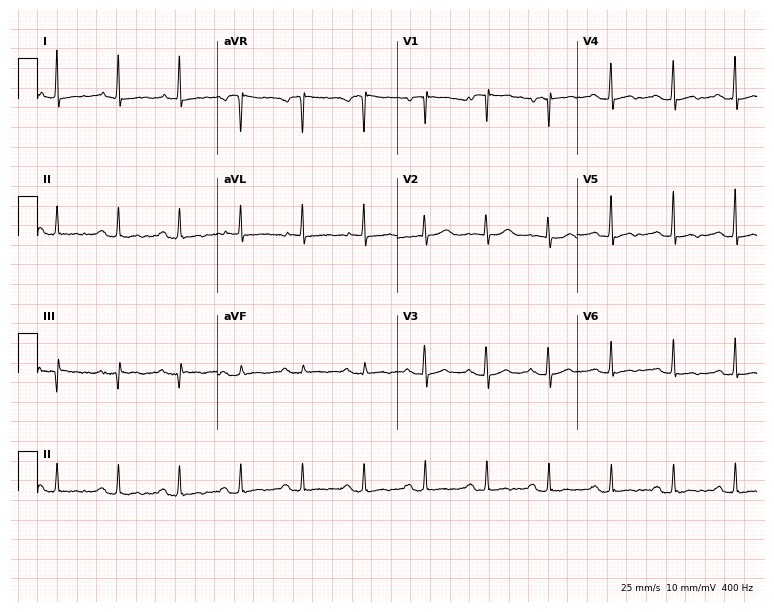
Resting 12-lead electrocardiogram. Patient: a 72-year-old woman. None of these six findings is recorded: first-degree AV block, right bundle branch block (RBBB), left bundle branch block (LBBB), sinus bradycardia, atrial fibrillation (AF), sinus tachycardia. Findings outside these six are not listed.